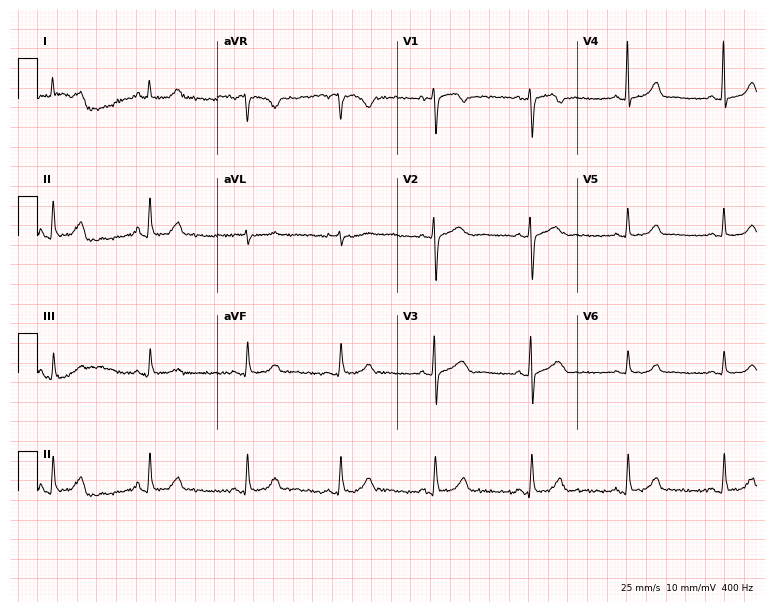
ECG — a 68-year-old female. Screened for six findings — first-degree AV block, right bundle branch block, left bundle branch block, sinus bradycardia, atrial fibrillation, sinus tachycardia — none is recorded. Findings outside these six are not listed.